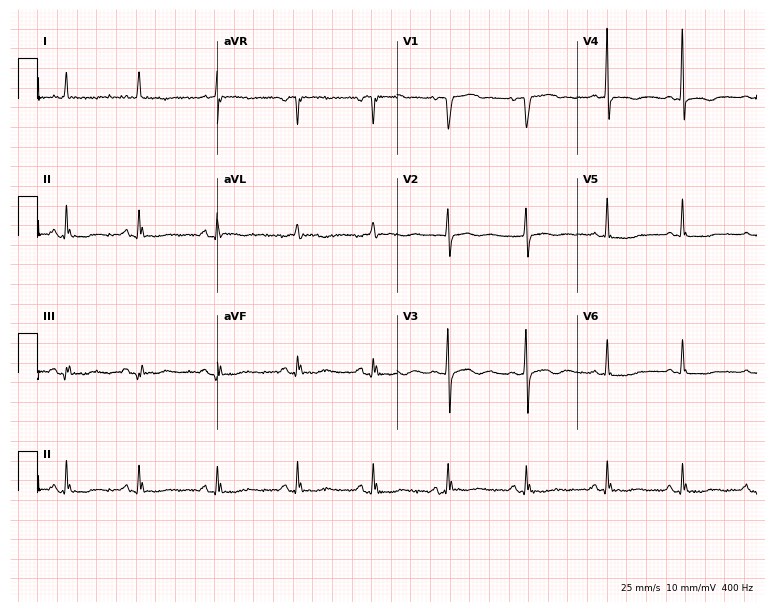
Resting 12-lead electrocardiogram (7.3-second recording at 400 Hz). Patient: an 85-year-old woman. None of these six findings is recorded: first-degree AV block, right bundle branch block, left bundle branch block, sinus bradycardia, atrial fibrillation, sinus tachycardia.